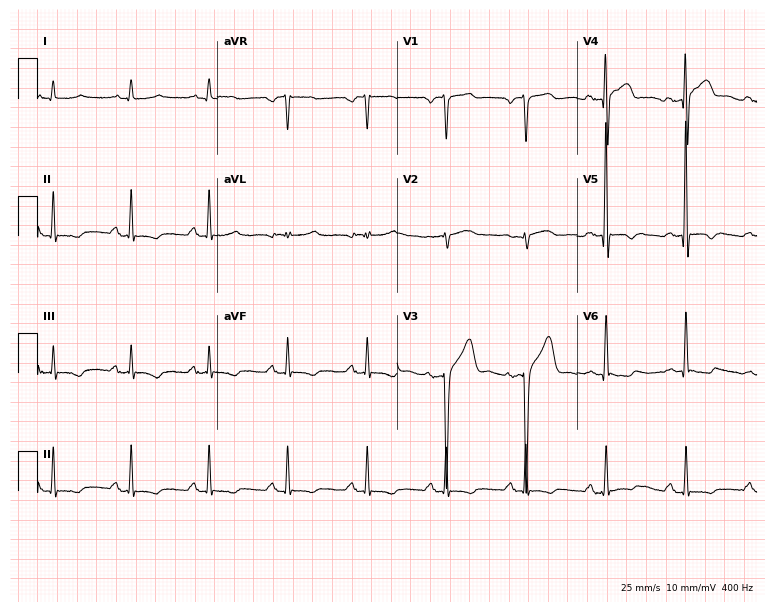
Standard 12-lead ECG recorded from a 54-year-old male (7.3-second recording at 400 Hz). Read as a normal ECG.